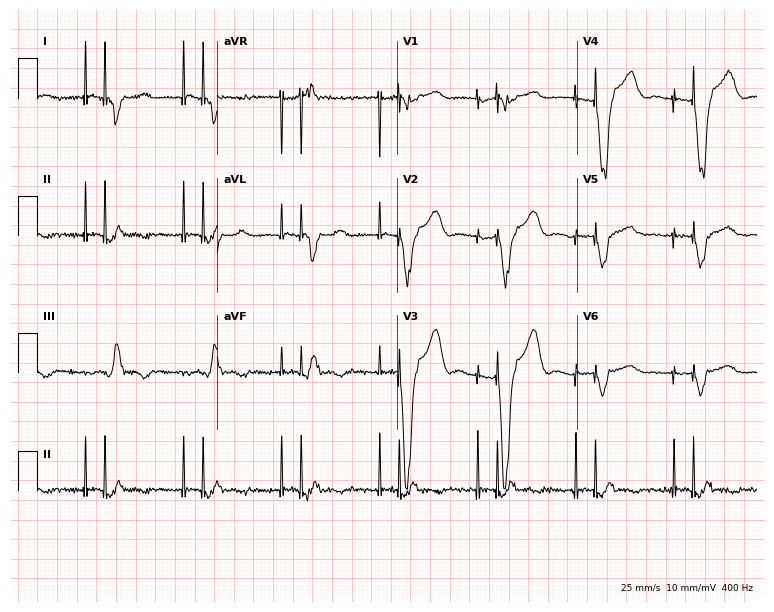
ECG (7.3-second recording at 400 Hz) — a 65-year-old male patient. Screened for six findings — first-degree AV block, right bundle branch block, left bundle branch block, sinus bradycardia, atrial fibrillation, sinus tachycardia — none is recorded. Findings outside these six are not listed.